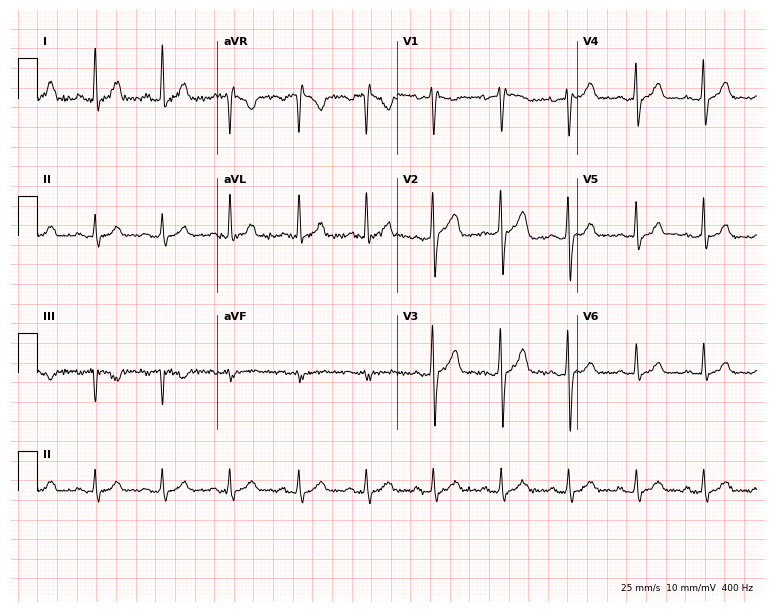
Electrocardiogram (7.3-second recording at 400 Hz), a 36-year-old man. Of the six screened findings (first-degree AV block, right bundle branch block, left bundle branch block, sinus bradycardia, atrial fibrillation, sinus tachycardia), none is recorded. Other findings, if any, are not listed.